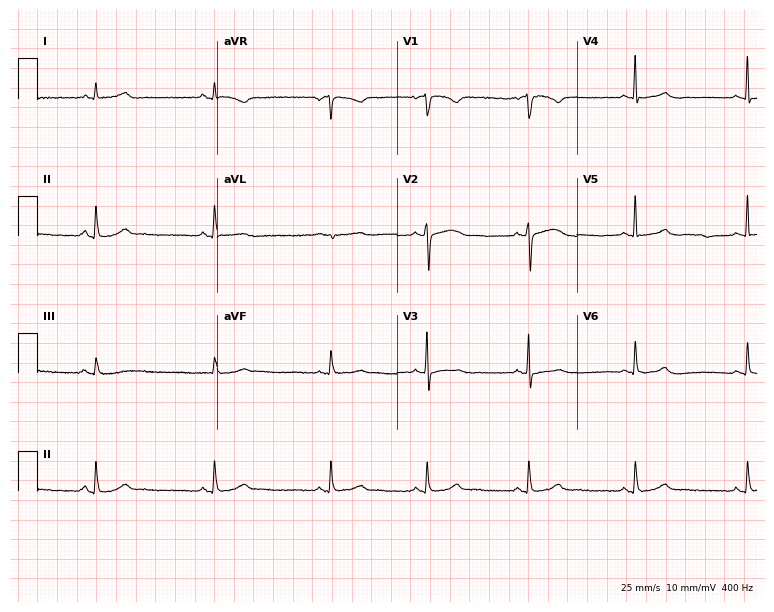
Standard 12-lead ECG recorded from a female, 44 years old (7.3-second recording at 400 Hz). None of these six findings is recorded: first-degree AV block, right bundle branch block, left bundle branch block, sinus bradycardia, atrial fibrillation, sinus tachycardia.